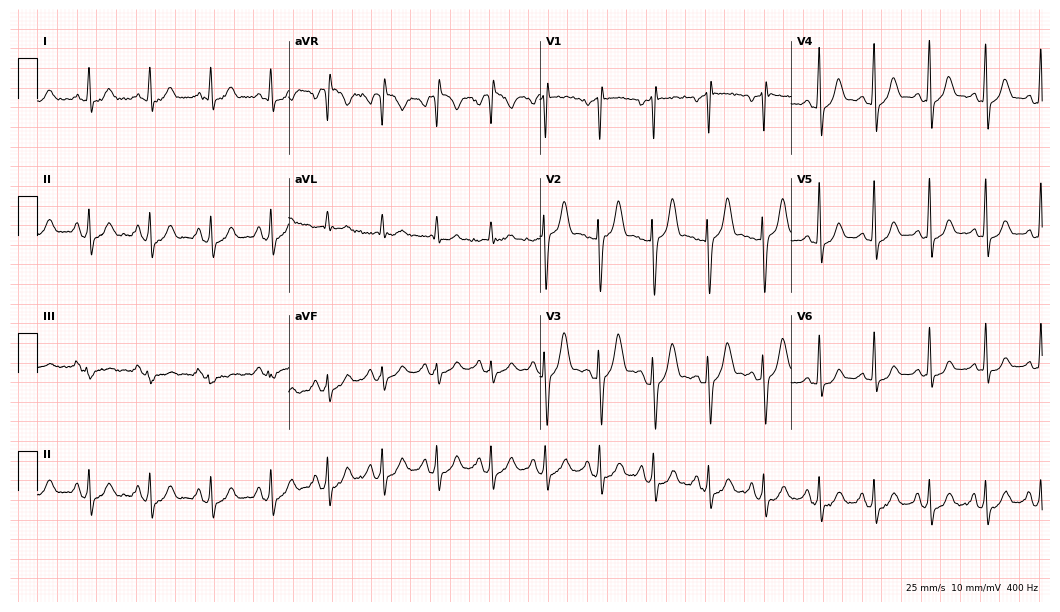
Standard 12-lead ECG recorded from a male, 37 years old. The tracing shows sinus tachycardia (a sinus rate of 100 beats per minute or more).